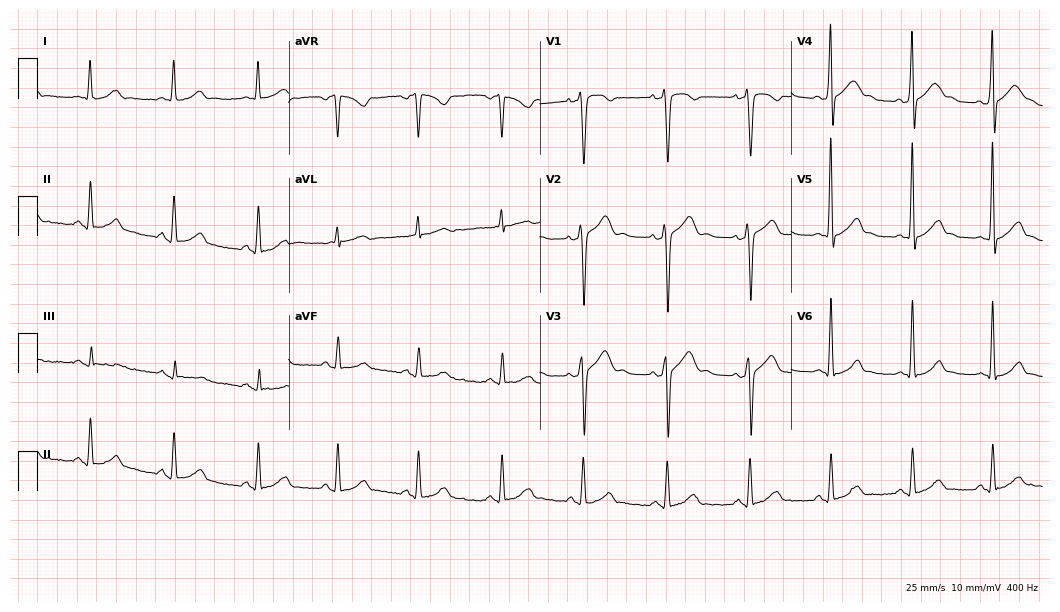
ECG — a 22-year-old male. Screened for six findings — first-degree AV block, right bundle branch block, left bundle branch block, sinus bradycardia, atrial fibrillation, sinus tachycardia — none is recorded.